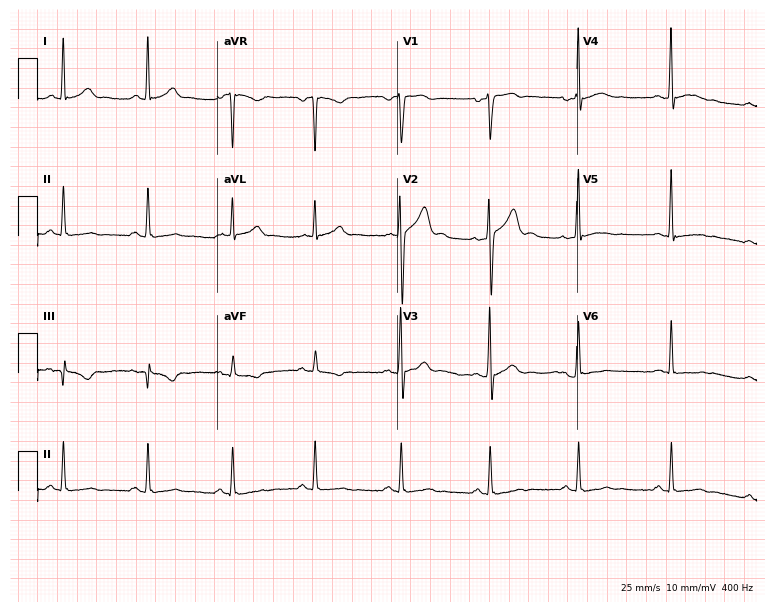
12-lead ECG from a male, 27 years old. Screened for six findings — first-degree AV block, right bundle branch block (RBBB), left bundle branch block (LBBB), sinus bradycardia, atrial fibrillation (AF), sinus tachycardia — none is recorded. Other findings, if any, are not listed.